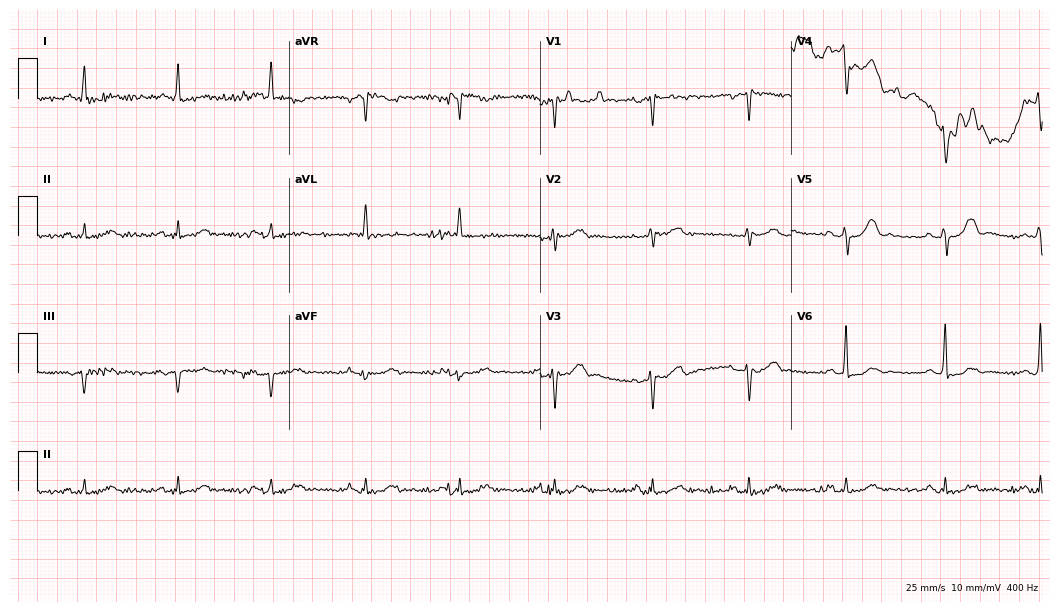
12-lead ECG (10.2-second recording at 400 Hz) from a 73-year-old man. Labelled as a normal ECG.